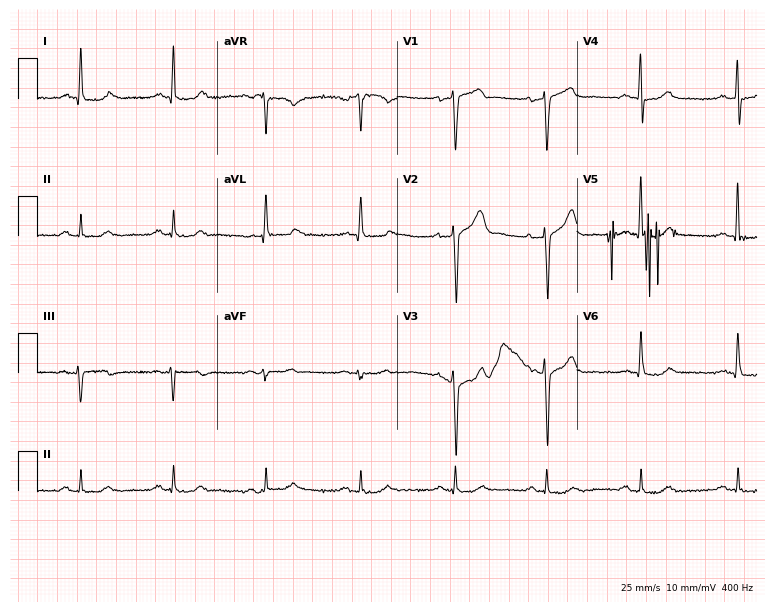
Electrocardiogram, a male patient, 66 years old. Overall reading on record: normal ECG.